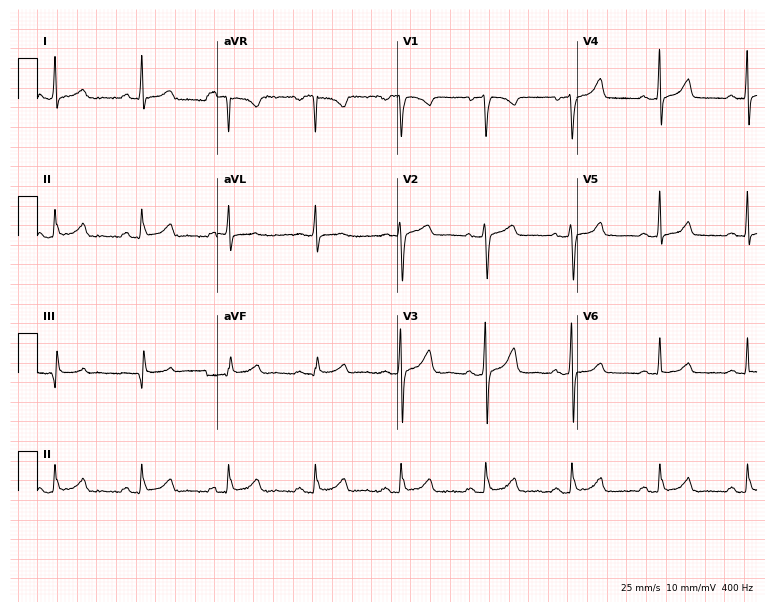
12-lead ECG from a 45-year-old female patient. Recorded interpretation: within normal limits.